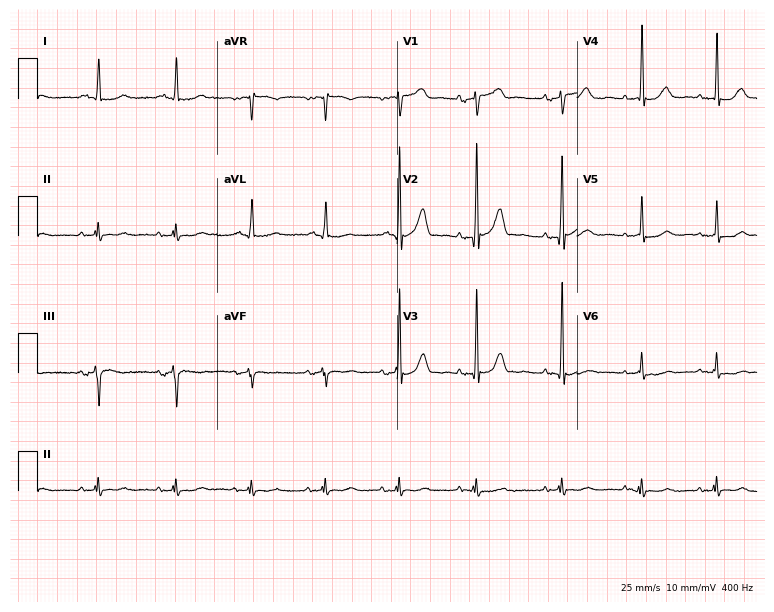
ECG — a male patient, 76 years old. Screened for six findings — first-degree AV block, right bundle branch block, left bundle branch block, sinus bradycardia, atrial fibrillation, sinus tachycardia — none is recorded.